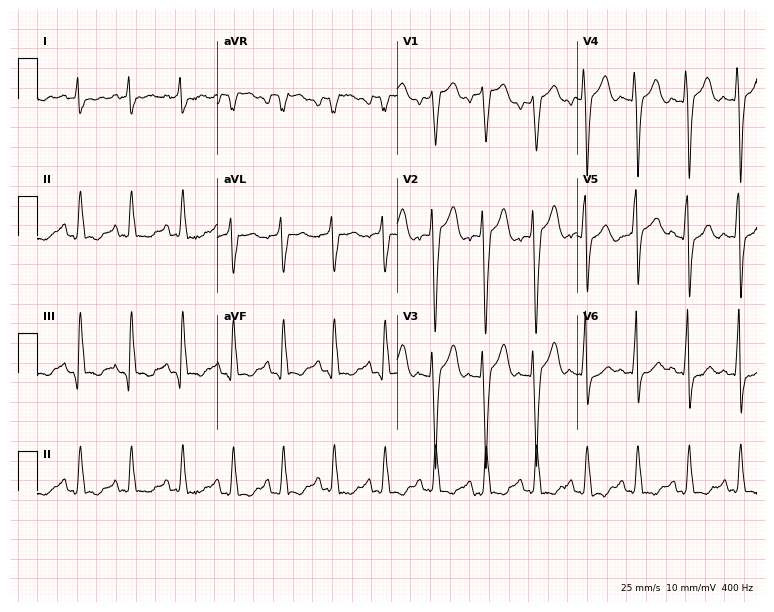
12-lead ECG from a 47-year-old male. Shows sinus tachycardia (a sinus rate of 100 beats per minute or more).